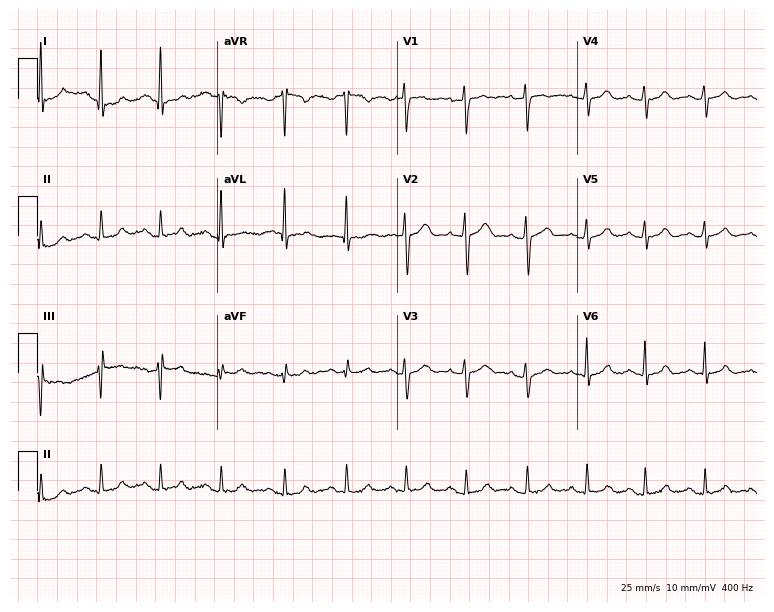
ECG — a female, 36 years old. Screened for six findings — first-degree AV block, right bundle branch block, left bundle branch block, sinus bradycardia, atrial fibrillation, sinus tachycardia — none is recorded.